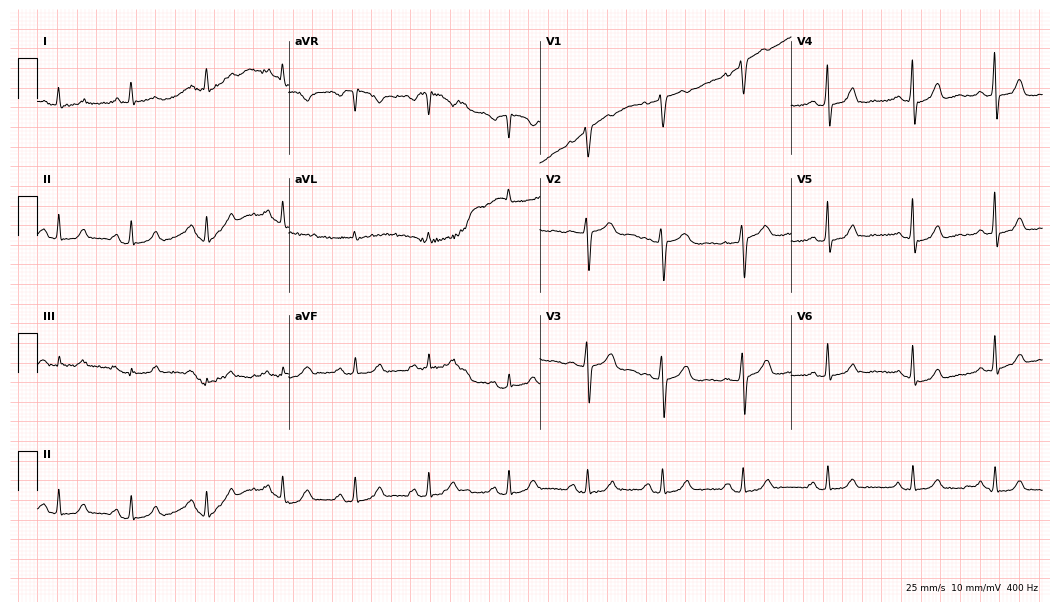
Electrocardiogram (10.2-second recording at 400 Hz), a 60-year-old female. Of the six screened findings (first-degree AV block, right bundle branch block, left bundle branch block, sinus bradycardia, atrial fibrillation, sinus tachycardia), none is recorded. Findings outside these six are not listed.